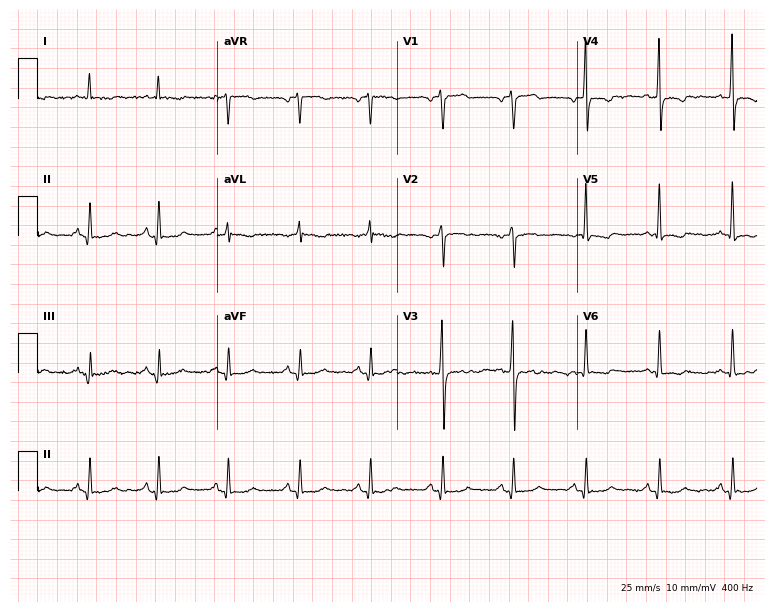
12-lead ECG from a 65-year-old man (7.3-second recording at 400 Hz). No first-degree AV block, right bundle branch block, left bundle branch block, sinus bradycardia, atrial fibrillation or sinus tachycardia recorded for this tracing. Findings outside these six are not listed.